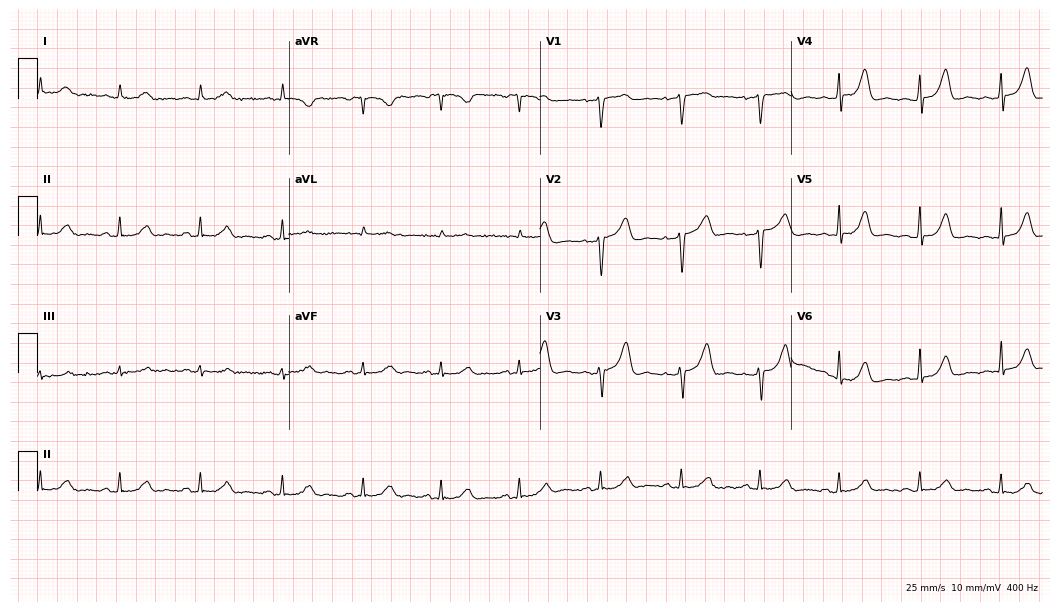
Standard 12-lead ECG recorded from a 44-year-old woman (10.2-second recording at 400 Hz). Read as a normal ECG.